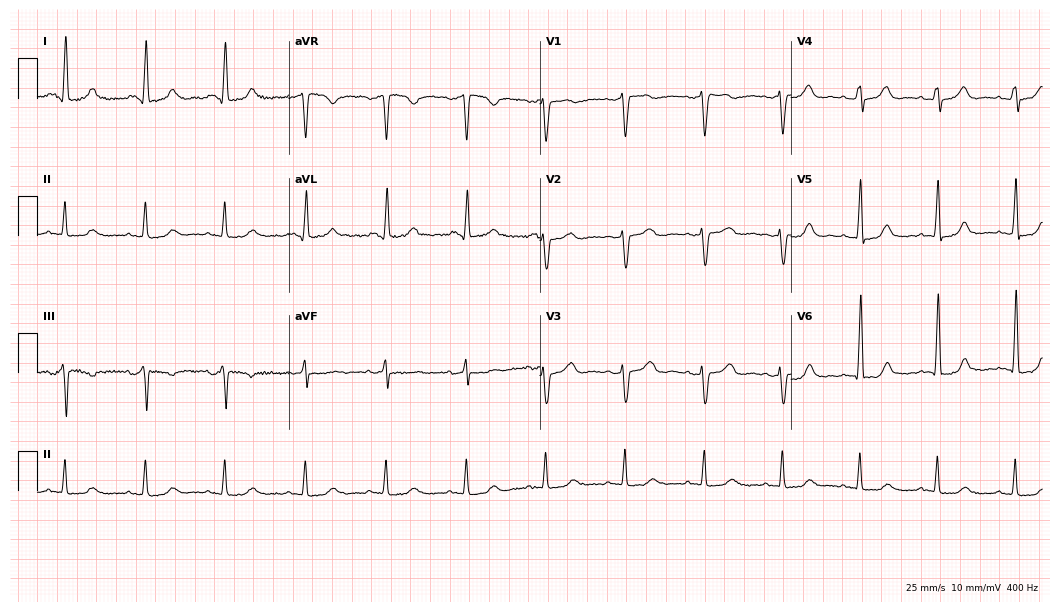
ECG — a woman, 65 years old. Labelled as a normal ECG.